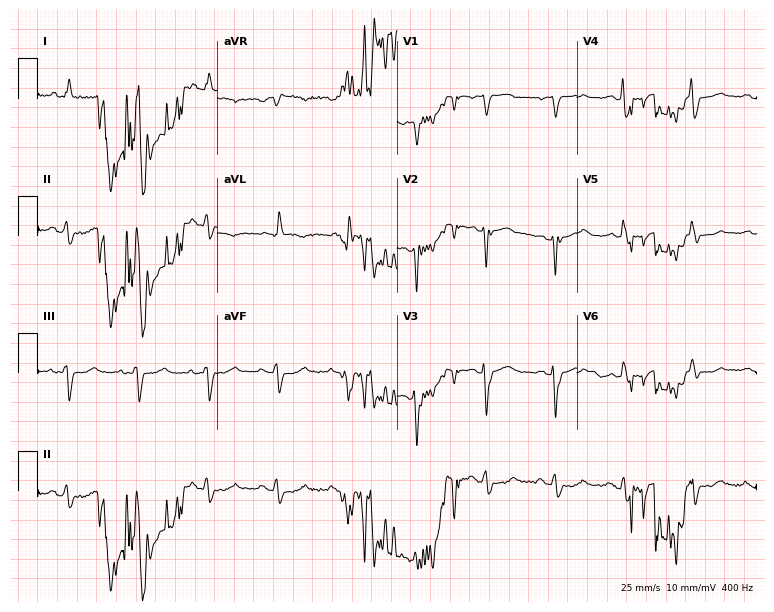
Standard 12-lead ECG recorded from a female, 59 years old (7.3-second recording at 400 Hz). None of these six findings is recorded: first-degree AV block, right bundle branch block (RBBB), left bundle branch block (LBBB), sinus bradycardia, atrial fibrillation (AF), sinus tachycardia.